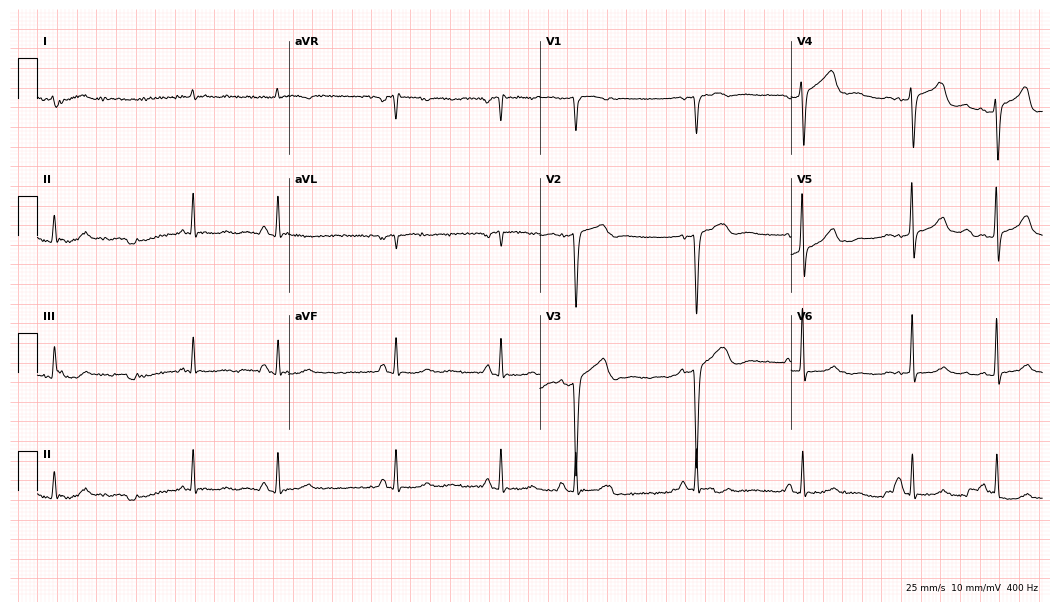
Resting 12-lead electrocardiogram. Patient: a male, 83 years old. None of these six findings is recorded: first-degree AV block, right bundle branch block, left bundle branch block, sinus bradycardia, atrial fibrillation, sinus tachycardia. Other findings, if any, are not listed.